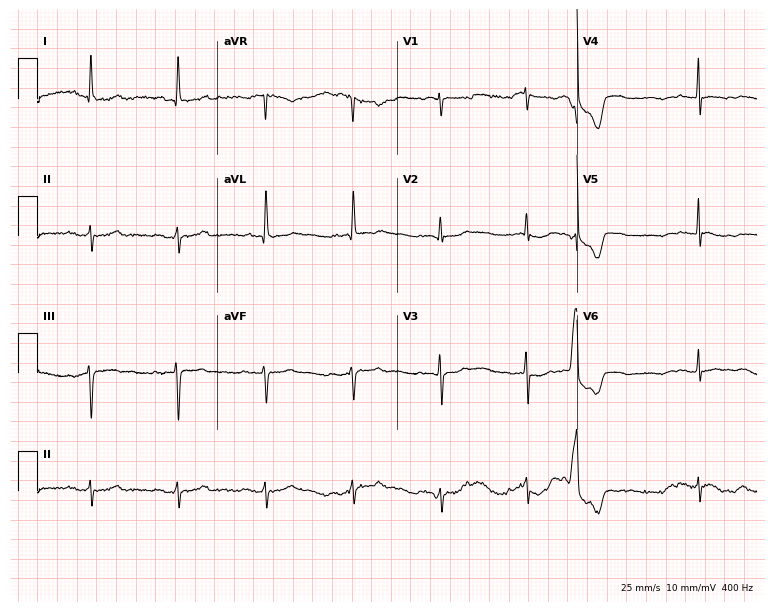
Standard 12-lead ECG recorded from an 85-year-old woman (7.3-second recording at 400 Hz). None of these six findings is recorded: first-degree AV block, right bundle branch block, left bundle branch block, sinus bradycardia, atrial fibrillation, sinus tachycardia.